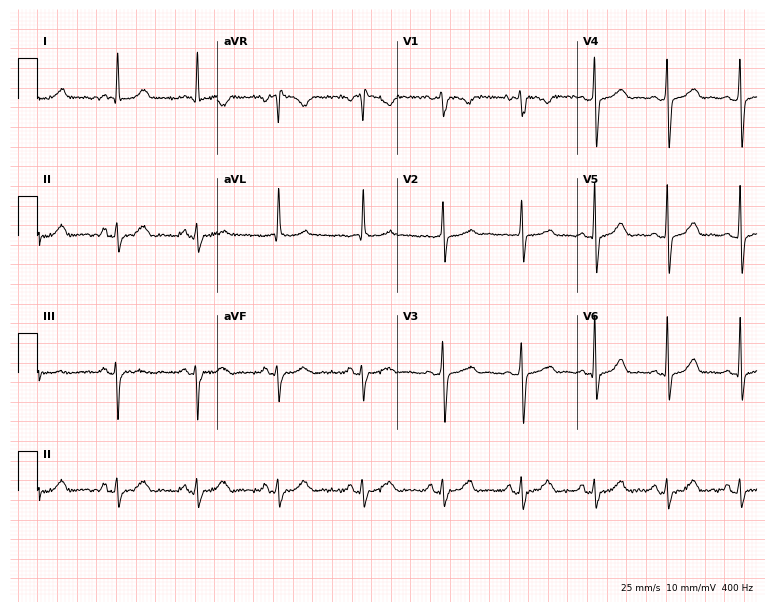
ECG (7.3-second recording at 400 Hz) — a 49-year-old female. Screened for six findings — first-degree AV block, right bundle branch block, left bundle branch block, sinus bradycardia, atrial fibrillation, sinus tachycardia — none is recorded. Only these six findings were labelled.